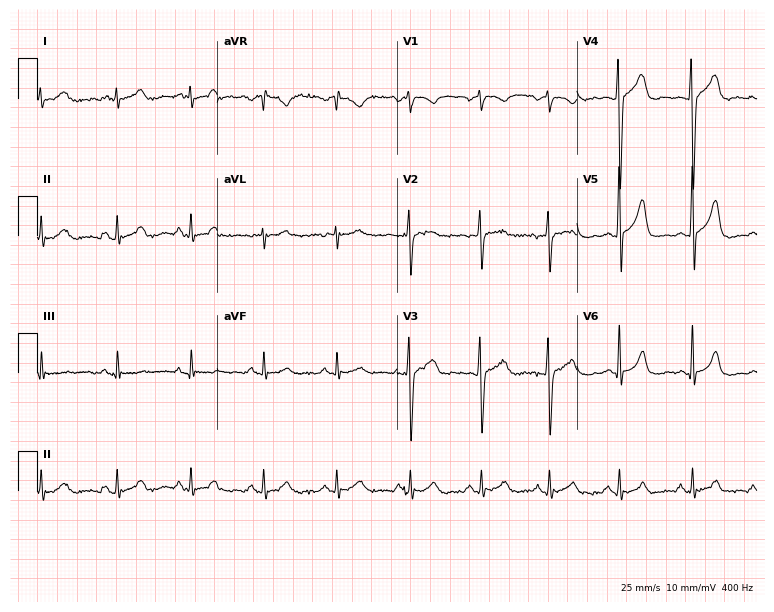
Electrocardiogram (7.3-second recording at 400 Hz), a man, 28 years old. Of the six screened findings (first-degree AV block, right bundle branch block (RBBB), left bundle branch block (LBBB), sinus bradycardia, atrial fibrillation (AF), sinus tachycardia), none is recorded. Findings outside these six are not listed.